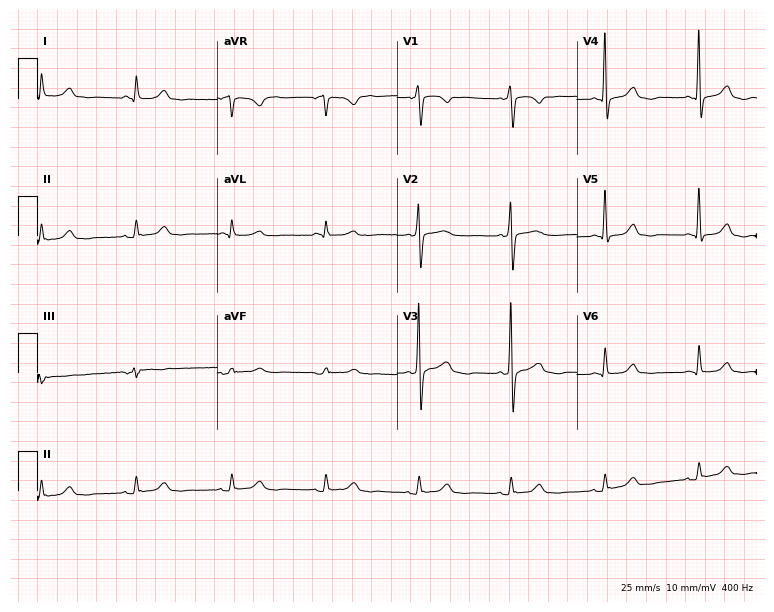
12-lead ECG from a man, 73 years old (7.3-second recording at 400 Hz). No first-degree AV block, right bundle branch block, left bundle branch block, sinus bradycardia, atrial fibrillation or sinus tachycardia recorded for this tracing.